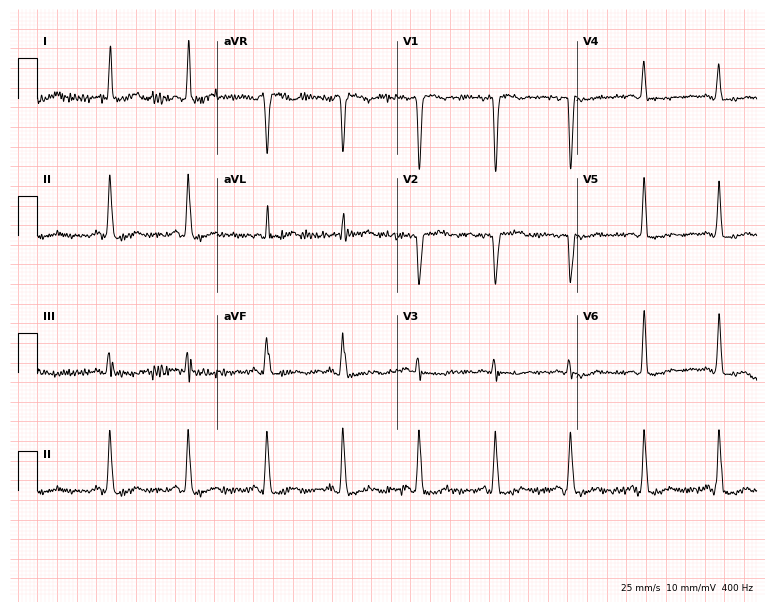
12-lead ECG (7.3-second recording at 400 Hz) from a woman, 53 years old. Screened for six findings — first-degree AV block, right bundle branch block, left bundle branch block, sinus bradycardia, atrial fibrillation, sinus tachycardia — none is recorded. Findings outside these six are not listed.